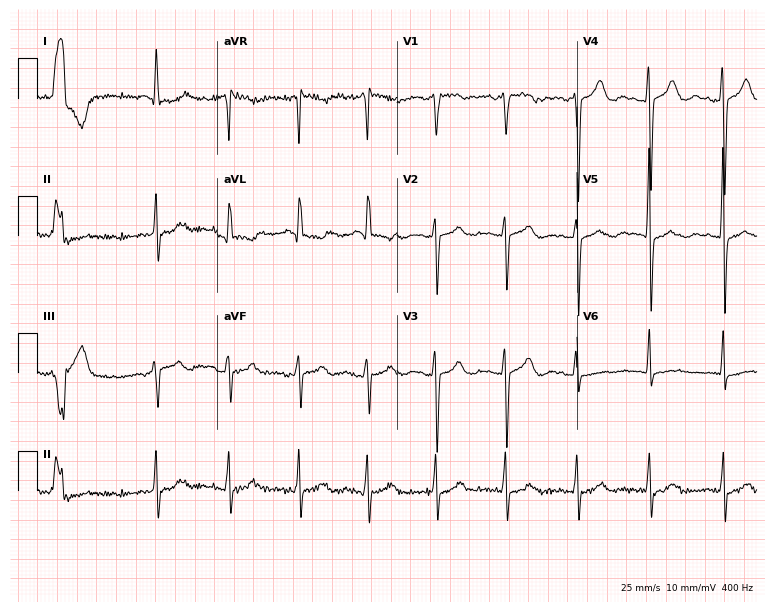
Electrocardiogram (7.3-second recording at 400 Hz), a female, 63 years old. Of the six screened findings (first-degree AV block, right bundle branch block, left bundle branch block, sinus bradycardia, atrial fibrillation, sinus tachycardia), none is recorded.